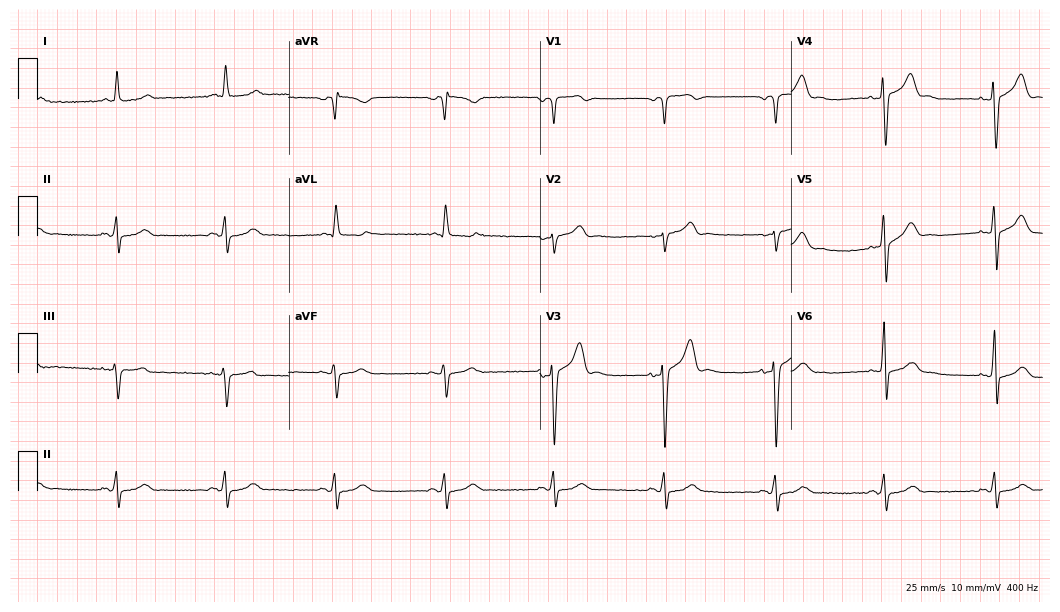
Electrocardiogram (10.2-second recording at 400 Hz), a 66-year-old male. Of the six screened findings (first-degree AV block, right bundle branch block (RBBB), left bundle branch block (LBBB), sinus bradycardia, atrial fibrillation (AF), sinus tachycardia), none is recorded. Other findings, if any, are not listed.